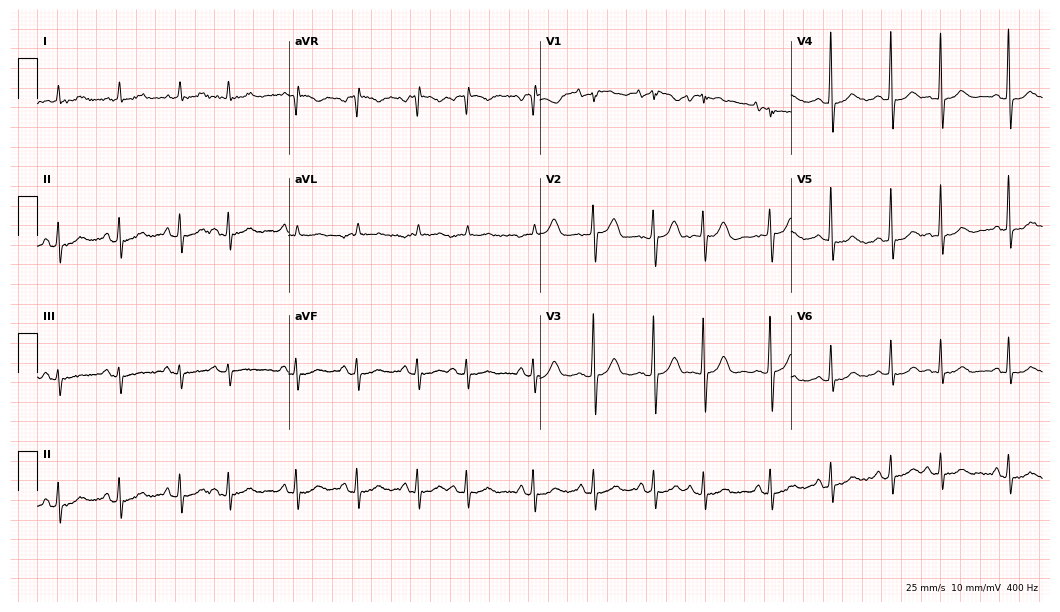
Electrocardiogram, an 82-year-old female. Of the six screened findings (first-degree AV block, right bundle branch block, left bundle branch block, sinus bradycardia, atrial fibrillation, sinus tachycardia), none is recorded. Other findings, if any, are not listed.